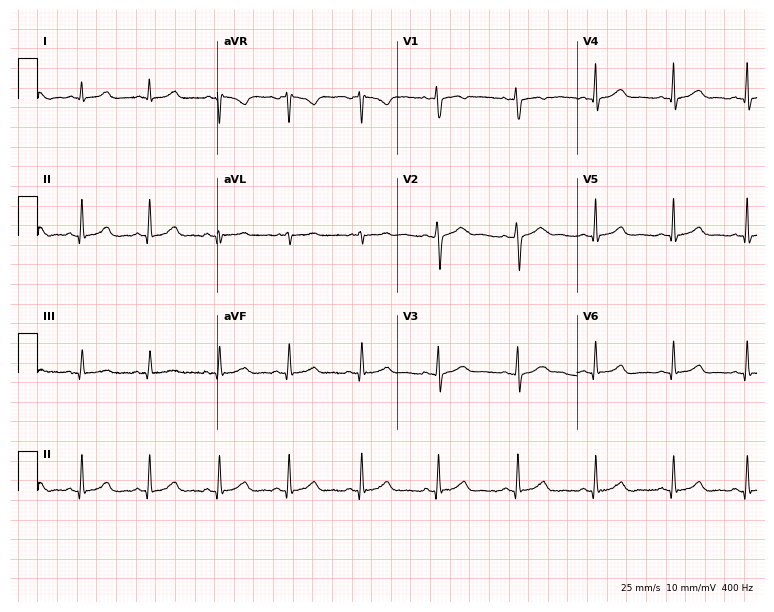
12-lead ECG (7.3-second recording at 400 Hz) from a woman, 33 years old. Labelled as a normal ECG.